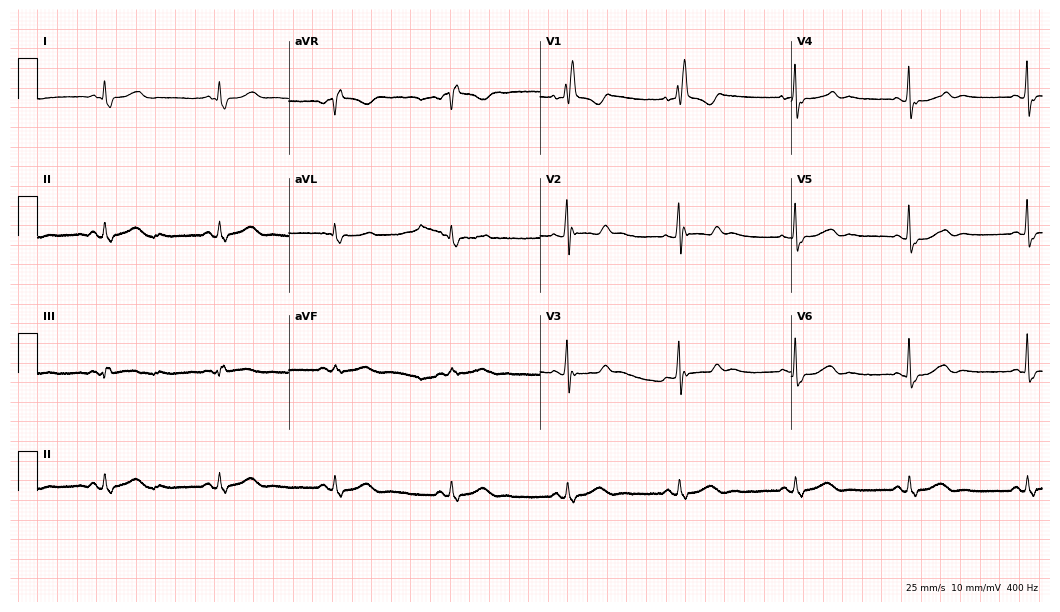
12-lead ECG from a woman, 63 years old. Shows right bundle branch block, sinus bradycardia (a sinus rate of 50 beats per minute or less).